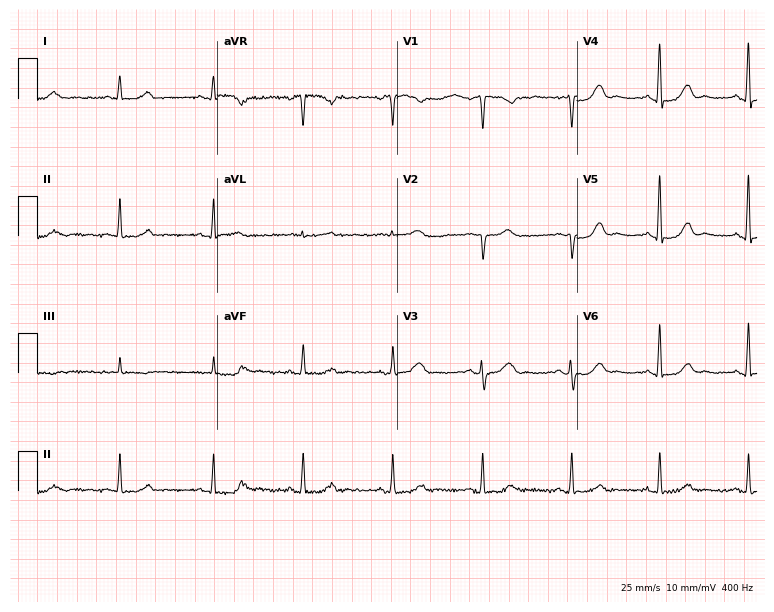
12-lead ECG from a female, 63 years old (7.3-second recording at 400 Hz). No first-degree AV block, right bundle branch block, left bundle branch block, sinus bradycardia, atrial fibrillation or sinus tachycardia recorded for this tracing. Findings outside these six are not listed.